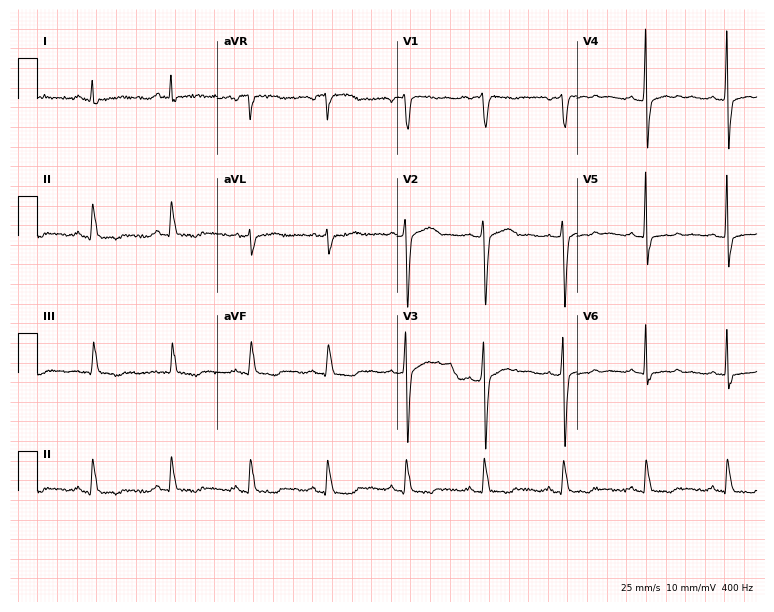
12-lead ECG from a 57-year-old male patient. No first-degree AV block, right bundle branch block, left bundle branch block, sinus bradycardia, atrial fibrillation or sinus tachycardia recorded for this tracing.